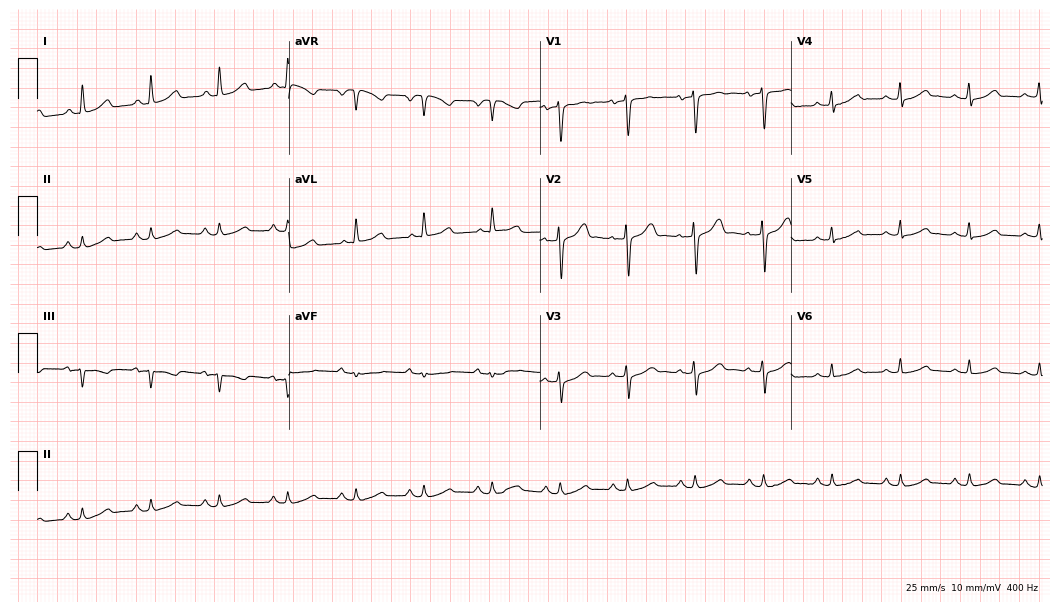
Electrocardiogram (10.2-second recording at 400 Hz), a woman, 66 years old. Of the six screened findings (first-degree AV block, right bundle branch block (RBBB), left bundle branch block (LBBB), sinus bradycardia, atrial fibrillation (AF), sinus tachycardia), none is recorded.